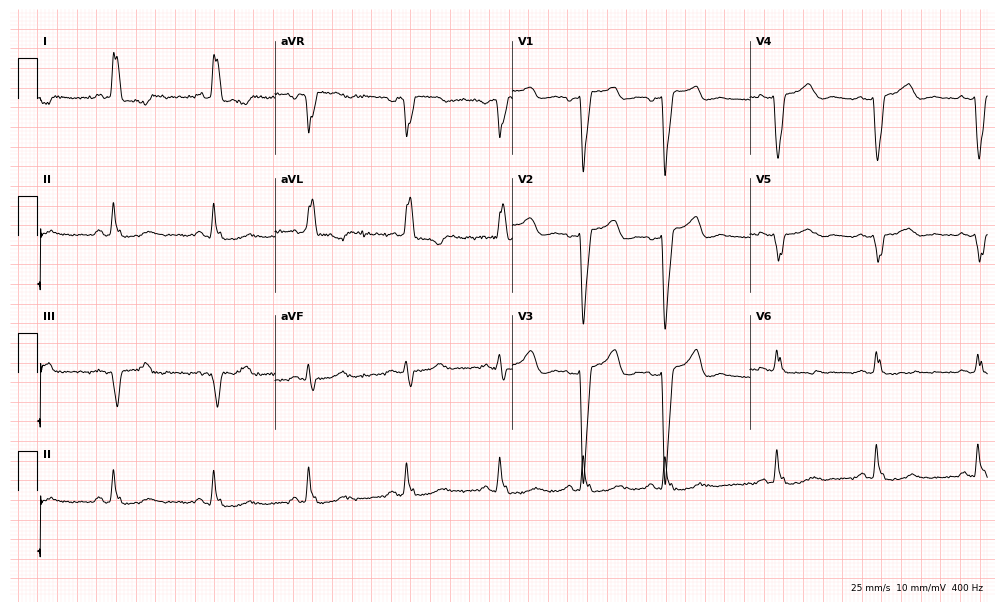
Resting 12-lead electrocardiogram. Patient: a female, 56 years old. The tracing shows left bundle branch block.